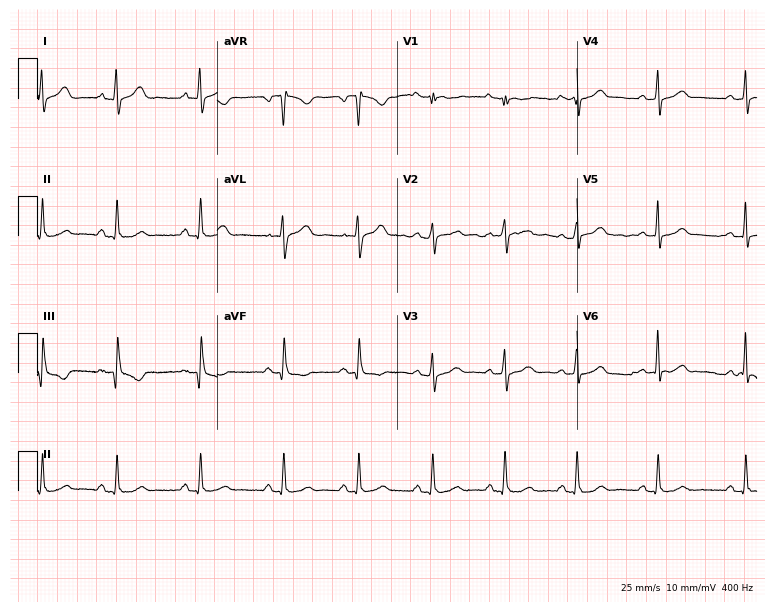
ECG (7.3-second recording at 400 Hz) — a female patient, 19 years old. Labelled as a normal ECG.